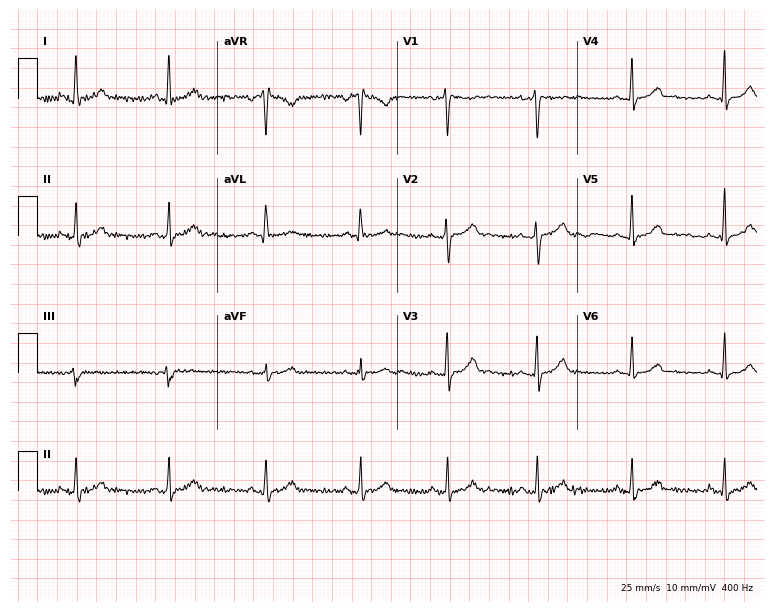
12-lead ECG from a 36-year-old woman. Recorded interpretation: within normal limits.